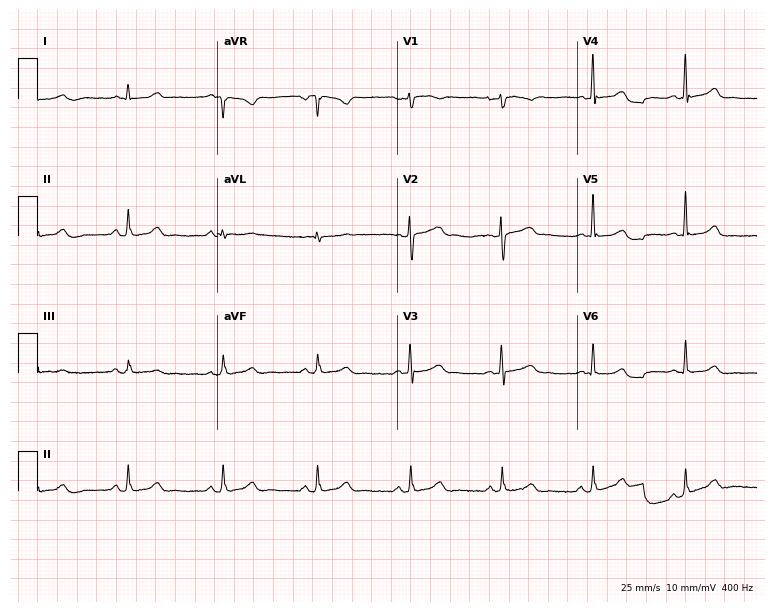
Resting 12-lead electrocardiogram (7.3-second recording at 400 Hz). Patient: a woman, 44 years old. Read as a normal ECG.